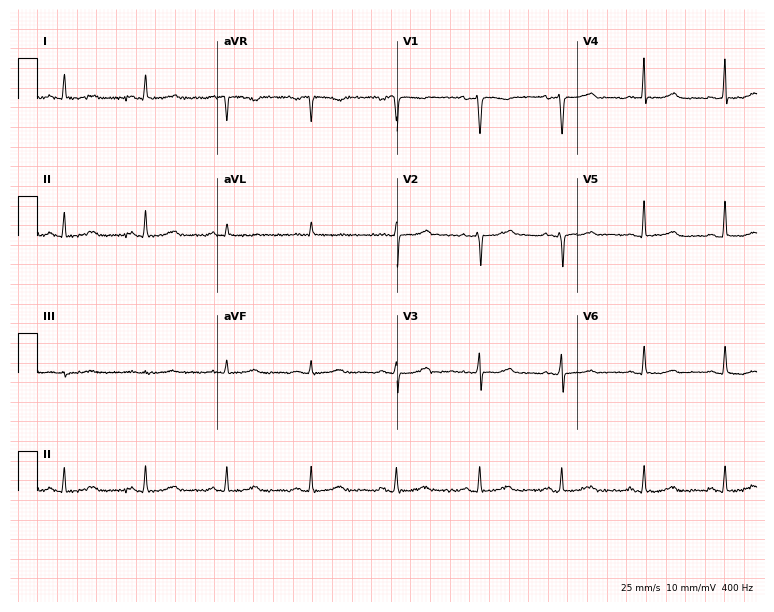
12-lead ECG from a 43-year-old female patient. Screened for six findings — first-degree AV block, right bundle branch block, left bundle branch block, sinus bradycardia, atrial fibrillation, sinus tachycardia — none is recorded.